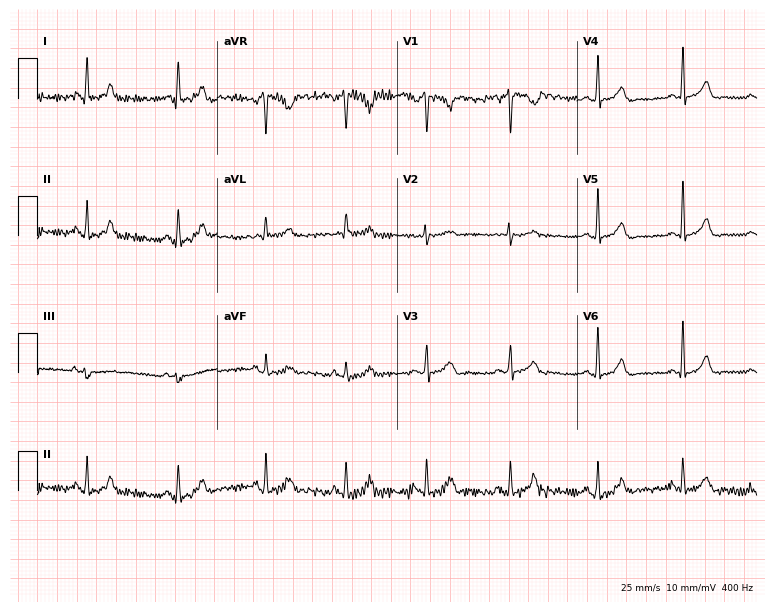
Electrocardiogram (7.3-second recording at 400 Hz), a female patient, 35 years old. Overall reading on record: normal ECG.